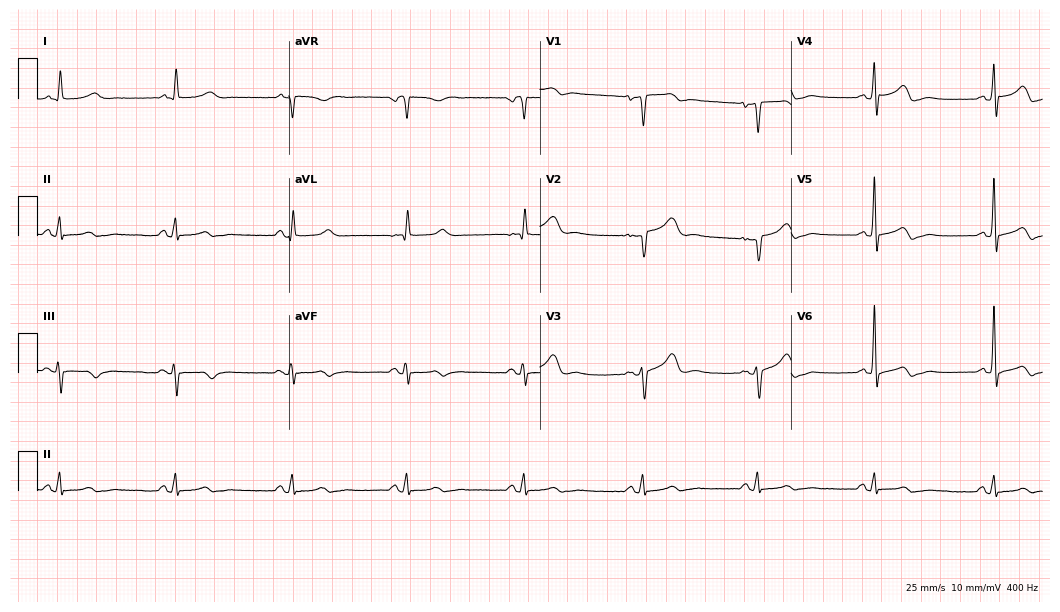
ECG — a 74-year-old female patient. Findings include sinus bradycardia (a sinus rate of 50 beats per minute or less).